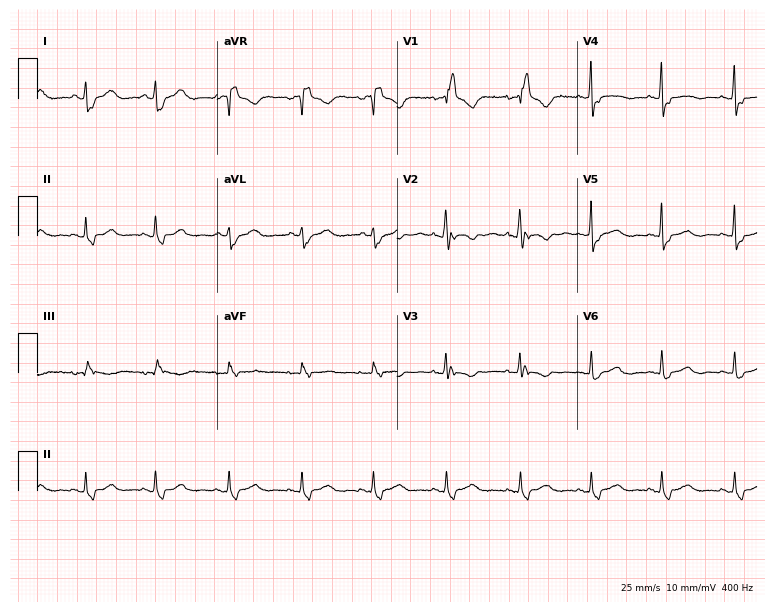
ECG — a 30-year-old female. Findings include right bundle branch block.